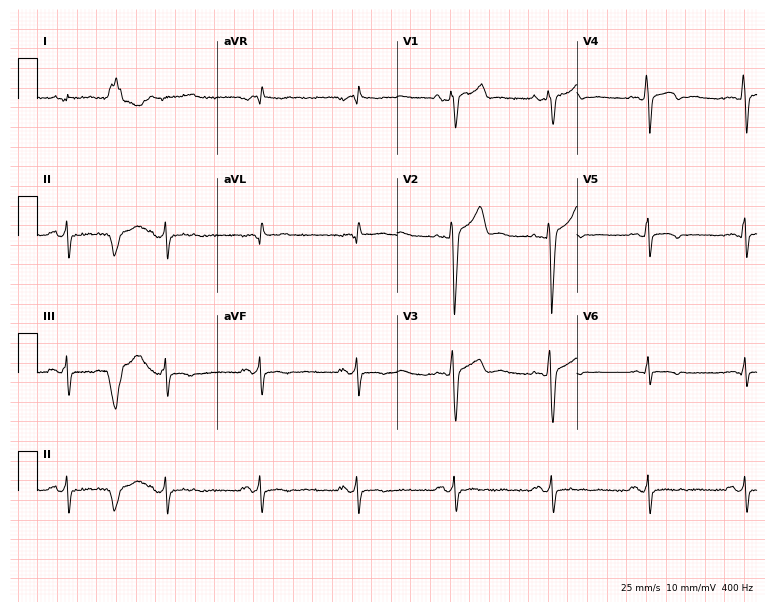
Standard 12-lead ECG recorded from a 45-year-old male (7.3-second recording at 400 Hz). None of these six findings is recorded: first-degree AV block, right bundle branch block (RBBB), left bundle branch block (LBBB), sinus bradycardia, atrial fibrillation (AF), sinus tachycardia. Findings outside these six are not listed.